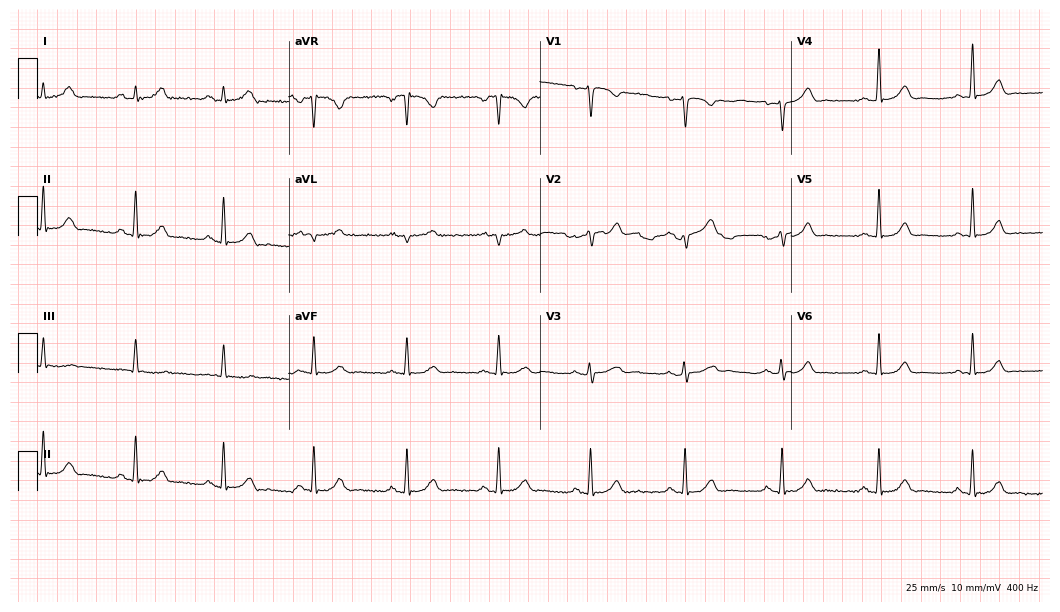
12-lead ECG (10.2-second recording at 400 Hz) from a 20-year-old female patient. Labelled as a normal ECG.